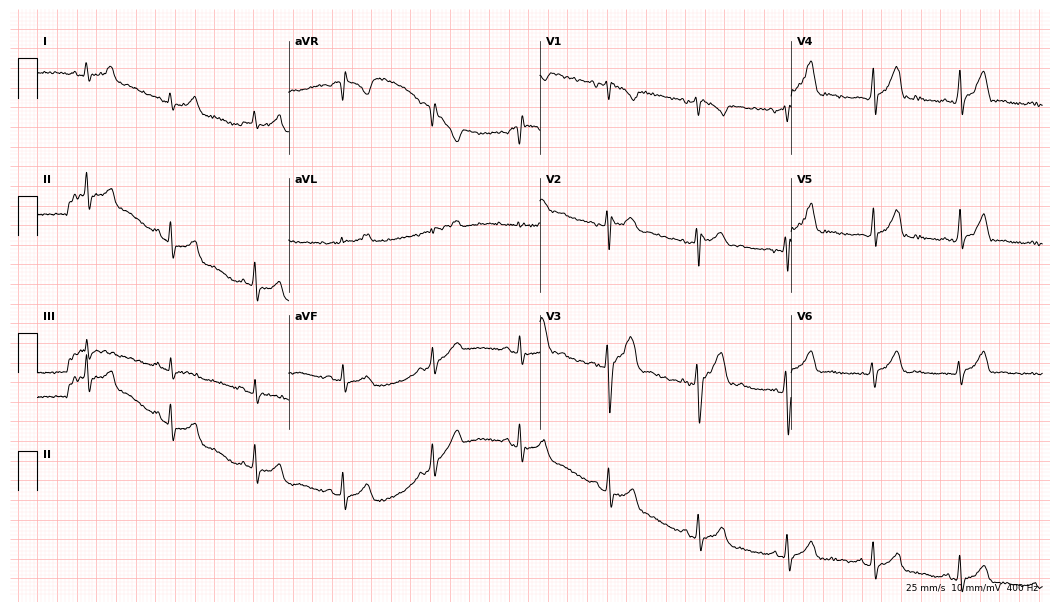
Resting 12-lead electrocardiogram (10.2-second recording at 400 Hz). Patient: a male, 28 years old. Read as a normal ECG.